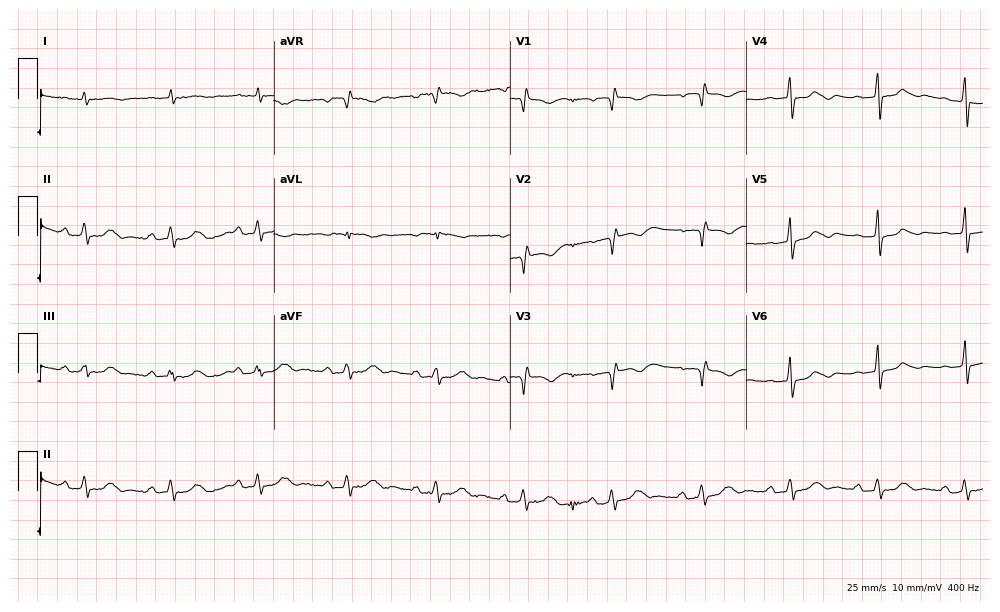
Standard 12-lead ECG recorded from a 70-year-old man. None of these six findings is recorded: first-degree AV block, right bundle branch block, left bundle branch block, sinus bradycardia, atrial fibrillation, sinus tachycardia.